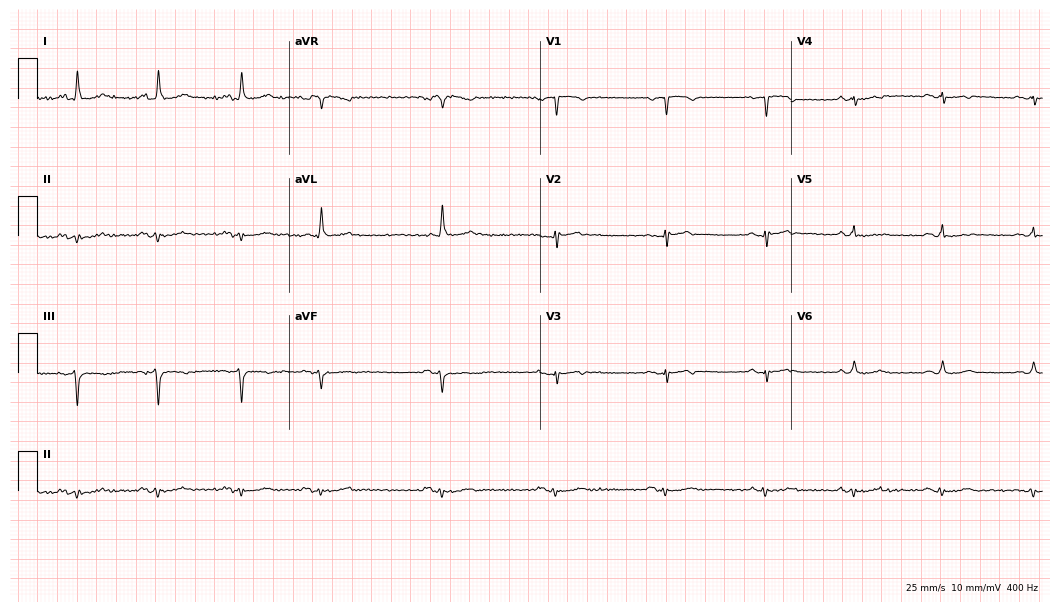
Standard 12-lead ECG recorded from a male patient, 80 years old. None of these six findings is recorded: first-degree AV block, right bundle branch block (RBBB), left bundle branch block (LBBB), sinus bradycardia, atrial fibrillation (AF), sinus tachycardia.